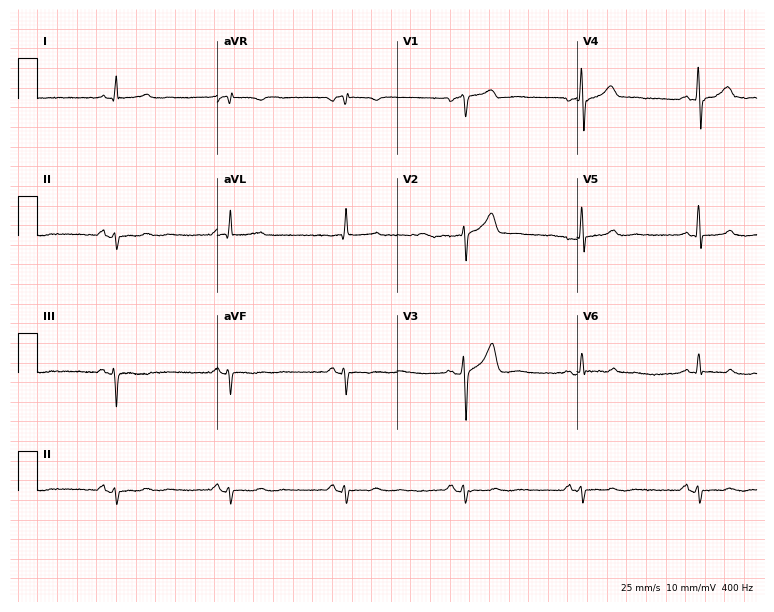
Standard 12-lead ECG recorded from a 52-year-old male patient (7.3-second recording at 400 Hz). None of these six findings is recorded: first-degree AV block, right bundle branch block, left bundle branch block, sinus bradycardia, atrial fibrillation, sinus tachycardia. Findings outside these six are not listed.